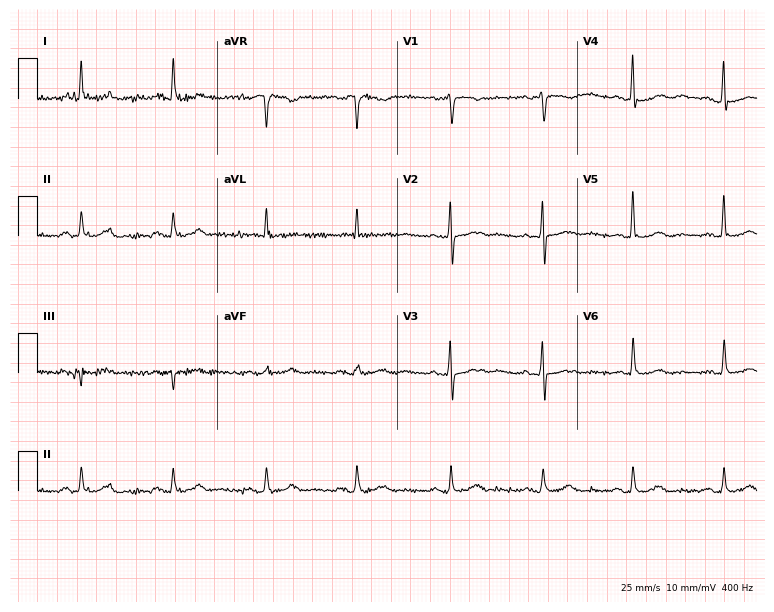
ECG — a female patient, 72 years old. Screened for six findings — first-degree AV block, right bundle branch block, left bundle branch block, sinus bradycardia, atrial fibrillation, sinus tachycardia — none is recorded. Other findings, if any, are not listed.